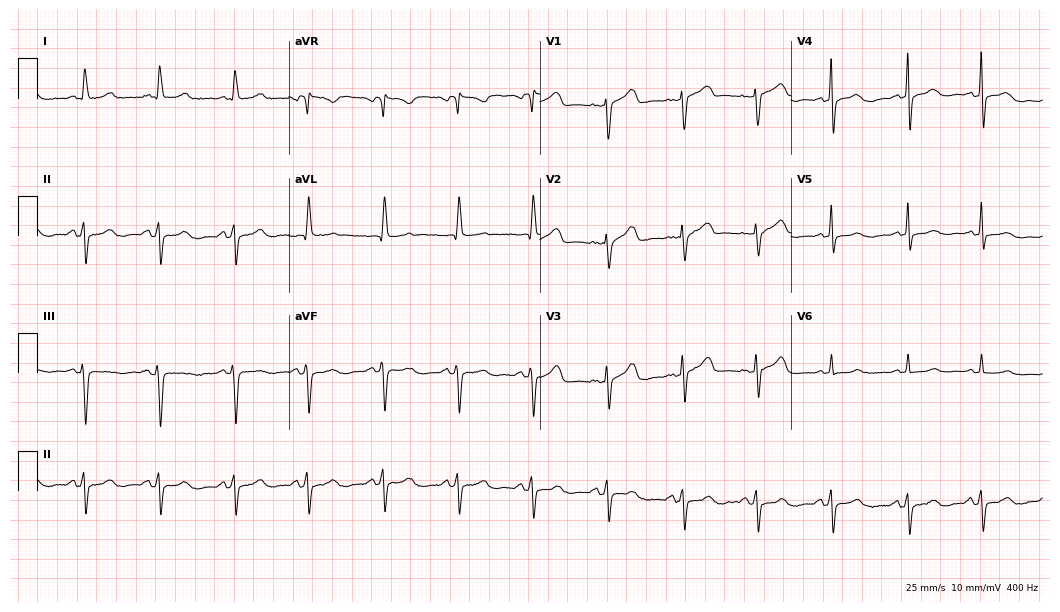
Resting 12-lead electrocardiogram (10.2-second recording at 400 Hz). Patient: a female, 67 years old. None of these six findings is recorded: first-degree AV block, right bundle branch block, left bundle branch block, sinus bradycardia, atrial fibrillation, sinus tachycardia. Other findings, if any, are not listed.